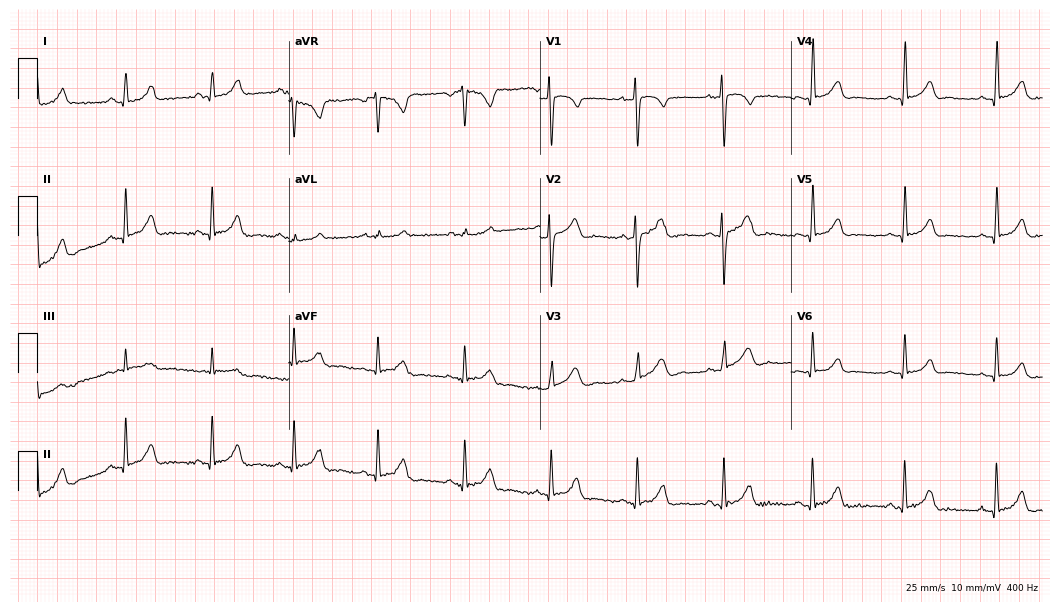
ECG — a 20-year-old female patient. Labelled as a normal ECG.